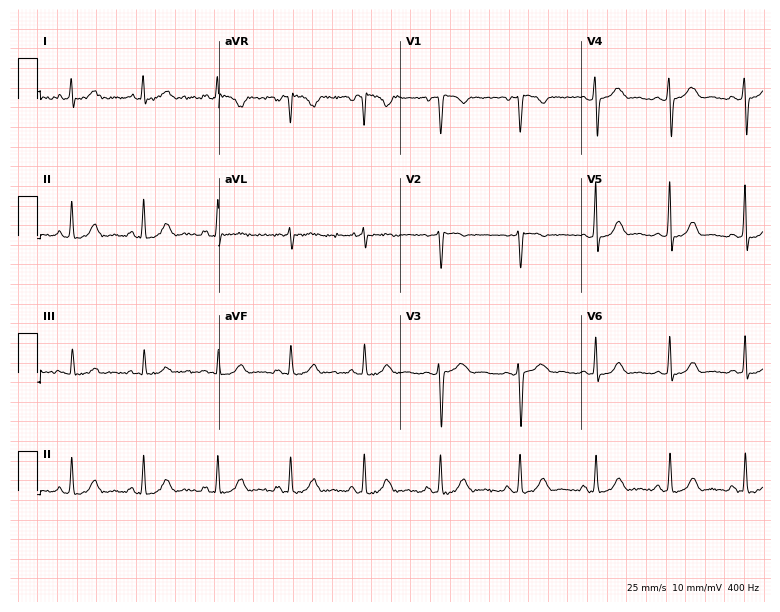
Resting 12-lead electrocardiogram. Patient: a woman, 43 years old. None of these six findings is recorded: first-degree AV block, right bundle branch block, left bundle branch block, sinus bradycardia, atrial fibrillation, sinus tachycardia.